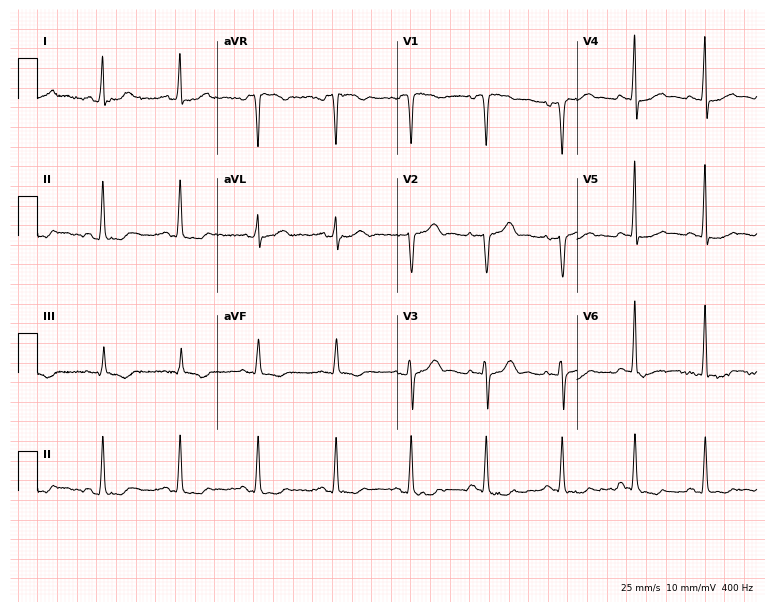
Electrocardiogram, a 38-year-old female patient. Of the six screened findings (first-degree AV block, right bundle branch block, left bundle branch block, sinus bradycardia, atrial fibrillation, sinus tachycardia), none is recorded.